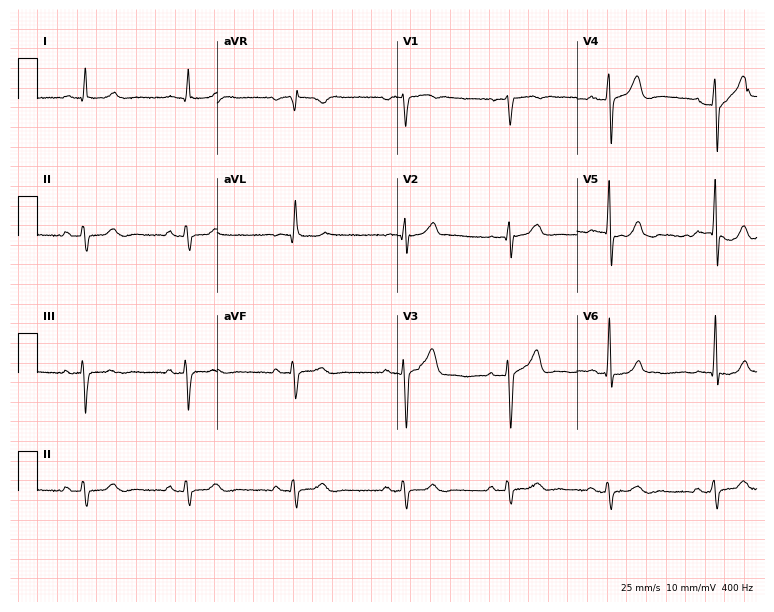
12-lead ECG from a man, 70 years old. Screened for six findings — first-degree AV block, right bundle branch block (RBBB), left bundle branch block (LBBB), sinus bradycardia, atrial fibrillation (AF), sinus tachycardia — none is recorded.